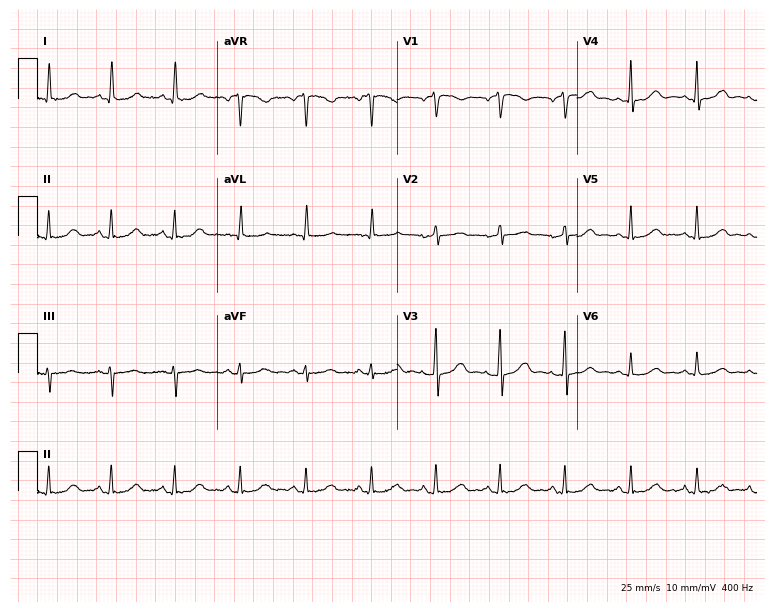
Standard 12-lead ECG recorded from a 68-year-old female patient. None of these six findings is recorded: first-degree AV block, right bundle branch block, left bundle branch block, sinus bradycardia, atrial fibrillation, sinus tachycardia.